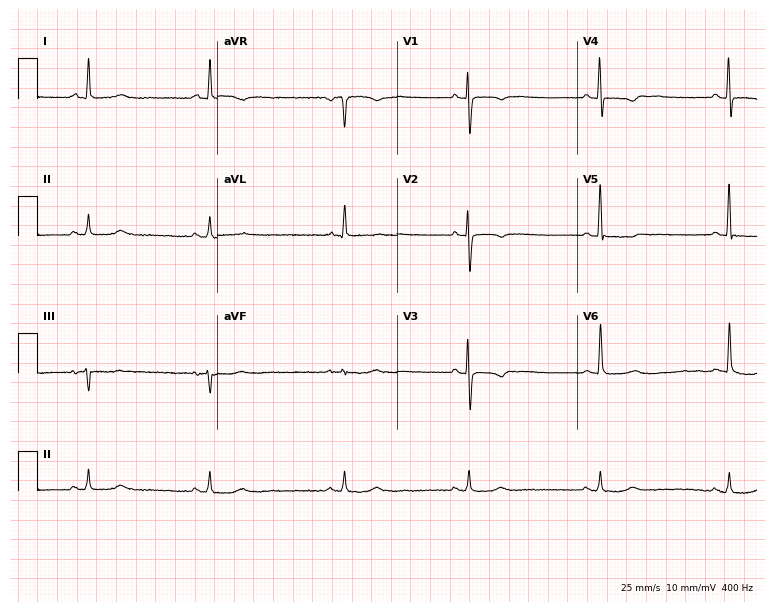
Electrocardiogram, a female patient, 63 years old. Of the six screened findings (first-degree AV block, right bundle branch block, left bundle branch block, sinus bradycardia, atrial fibrillation, sinus tachycardia), none is recorded. Findings outside these six are not listed.